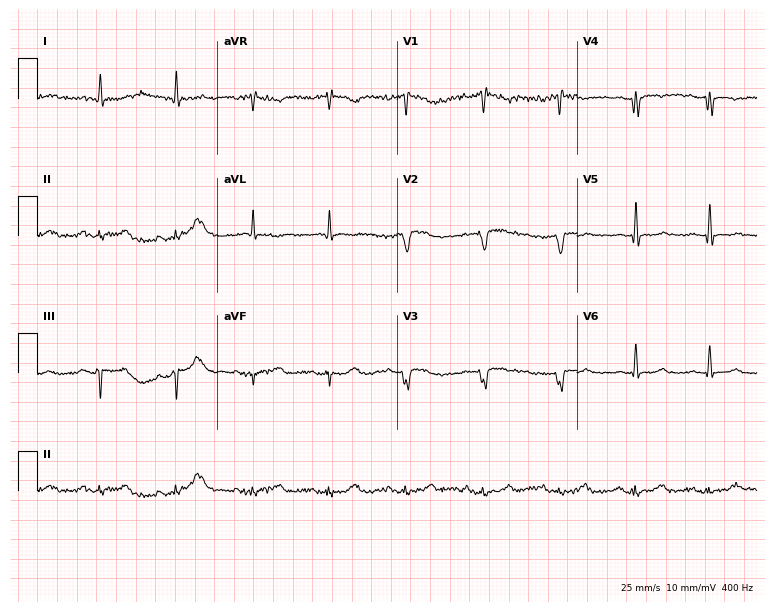
ECG — a man, 84 years old. Screened for six findings — first-degree AV block, right bundle branch block (RBBB), left bundle branch block (LBBB), sinus bradycardia, atrial fibrillation (AF), sinus tachycardia — none is recorded.